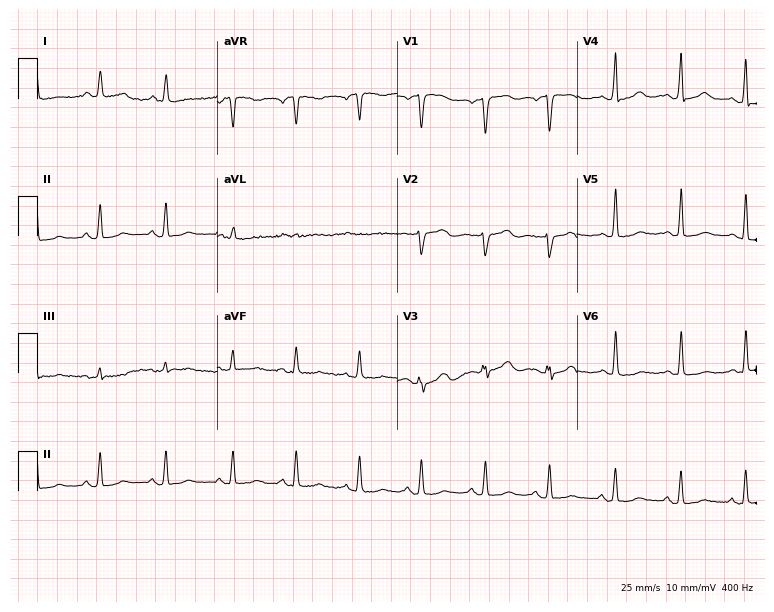
ECG — a 67-year-old woman. Screened for six findings — first-degree AV block, right bundle branch block (RBBB), left bundle branch block (LBBB), sinus bradycardia, atrial fibrillation (AF), sinus tachycardia — none is recorded.